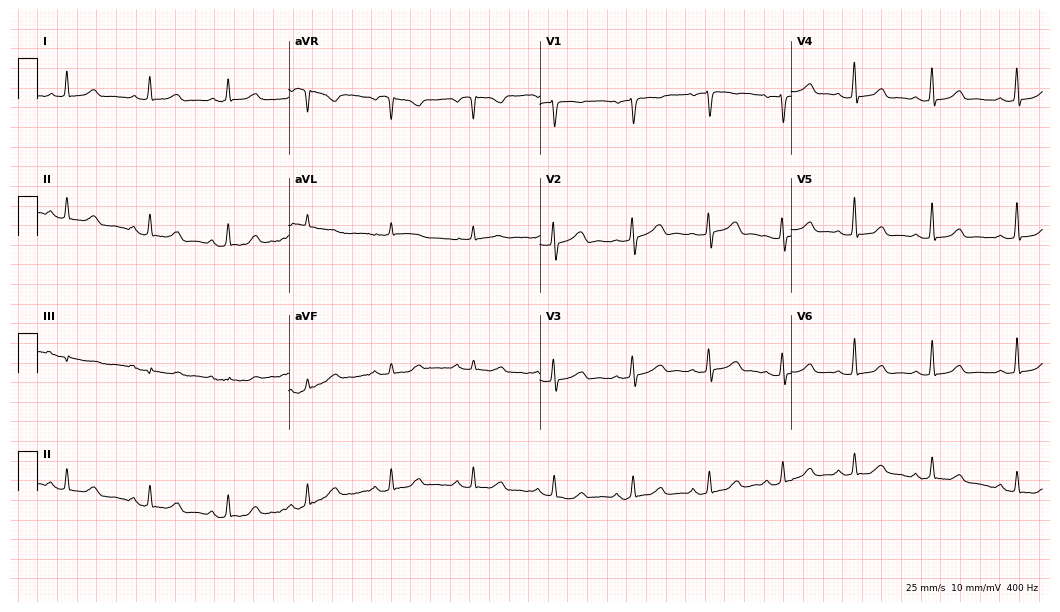
12-lead ECG (10.2-second recording at 400 Hz) from a 53-year-old woman. Labelled as a normal ECG.